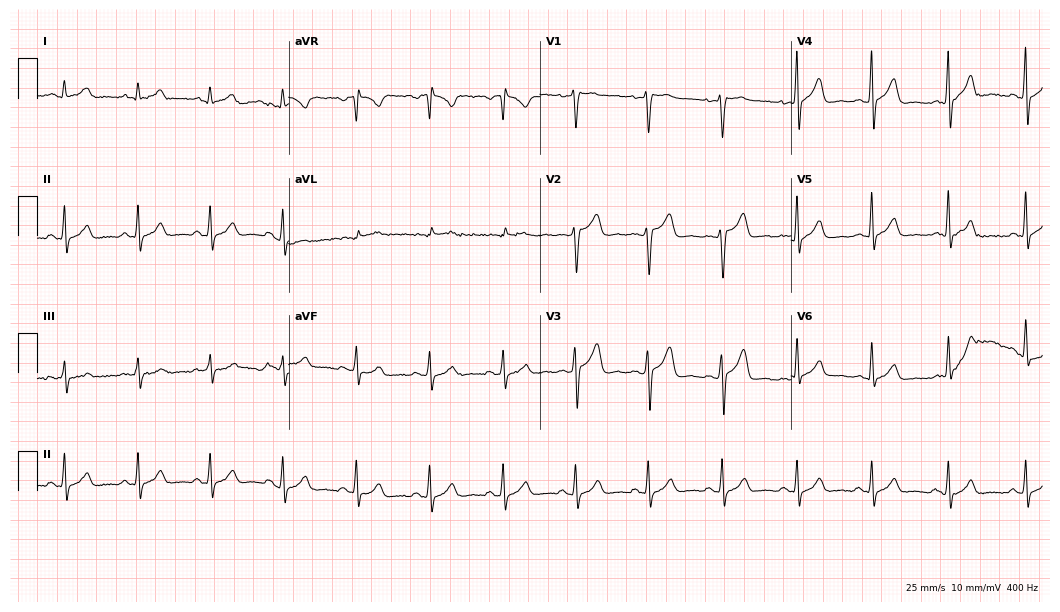
Resting 12-lead electrocardiogram. Patient: a 32-year-old male. None of these six findings is recorded: first-degree AV block, right bundle branch block (RBBB), left bundle branch block (LBBB), sinus bradycardia, atrial fibrillation (AF), sinus tachycardia. Only these six findings were labelled.